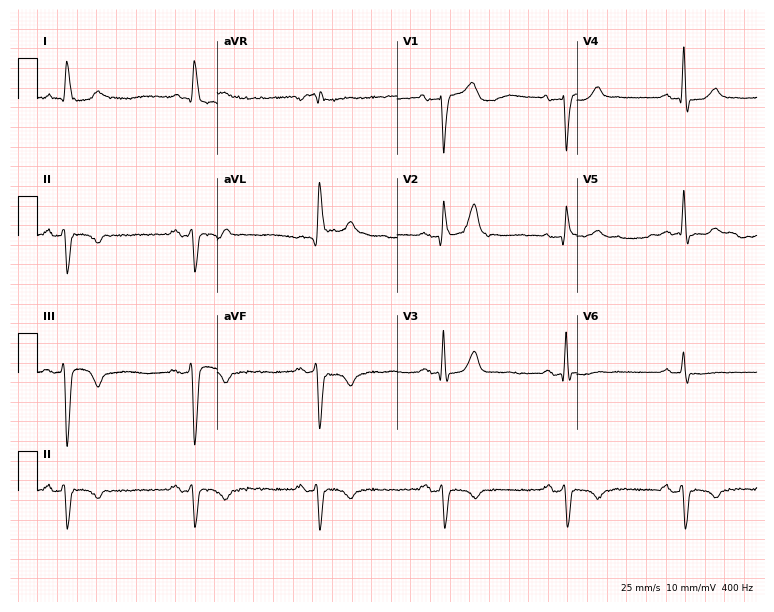
12-lead ECG from a 57-year-old male patient. No first-degree AV block, right bundle branch block, left bundle branch block, sinus bradycardia, atrial fibrillation or sinus tachycardia recorded for this tracing.